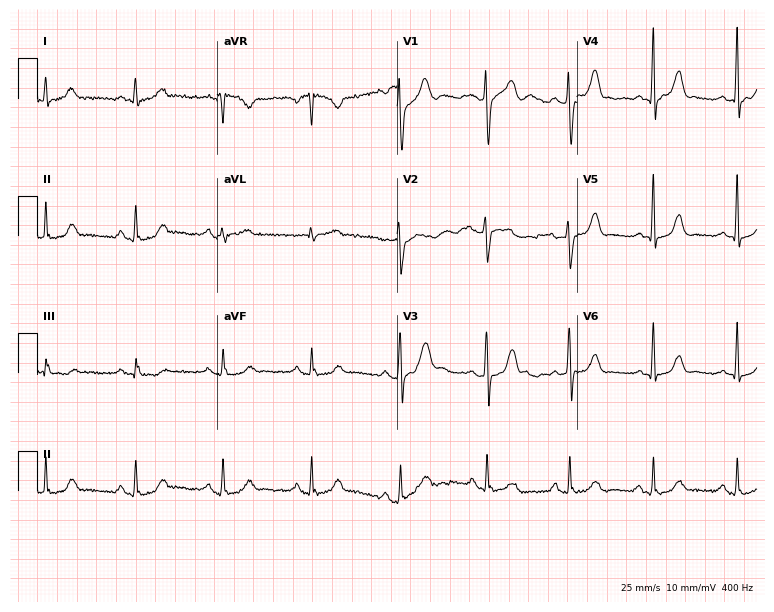
Electrocardiogram (7.3-second recording at 400 Hz), a female, 43 years old. Of the six screened findings (first-degree AV block, right bundle branch block (RBBB), left bundle branch block (LBBB), sinus bradycardia, atrial fibrillation (AF), sinus tachycardia), none is recorded.